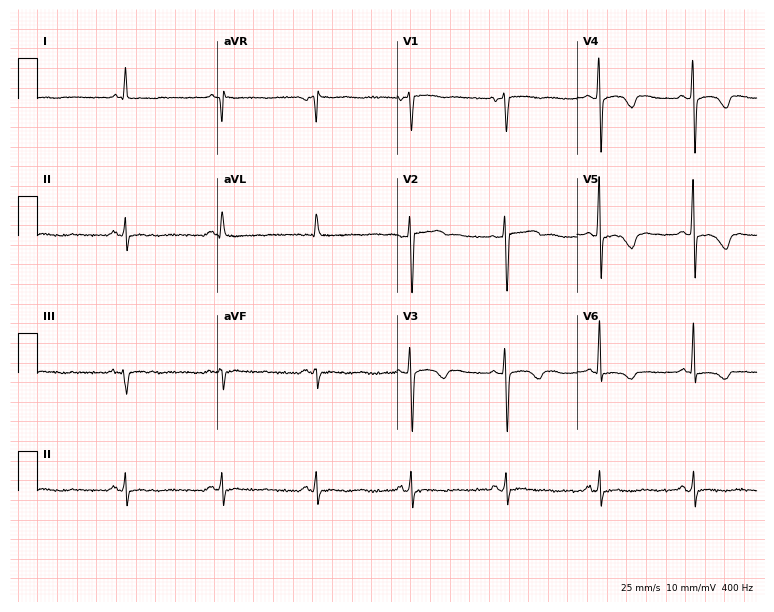
ECG — a 64-year-old woman. Screened for six findings — first-degree AV block, right bundle branch block, left bundle branch block, sinus bradycardia, atrial fibrillation, sinus tachycardia — none is recorded. Findings outside these six are not listed.